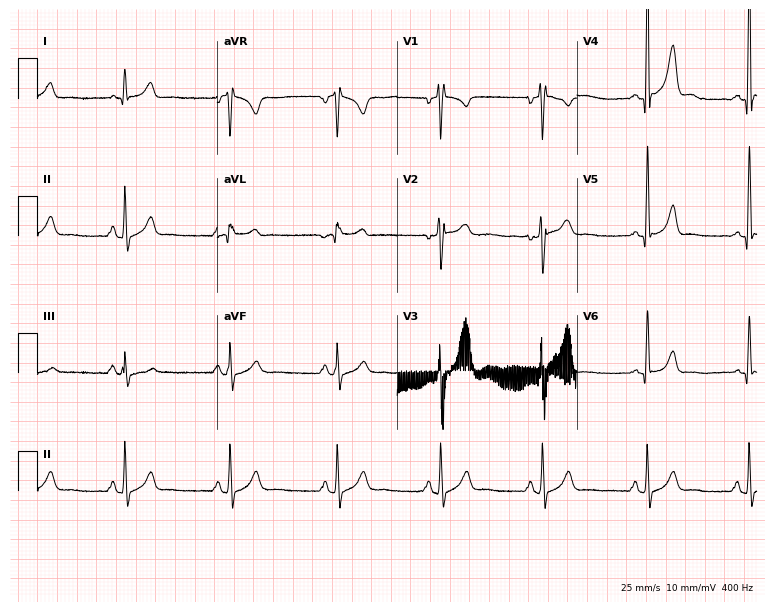
Resting 12-lead electrocardiogram (7.3-second recording at 400 Hz). Patient: a male, 23 years old. Read as a normal ECG.